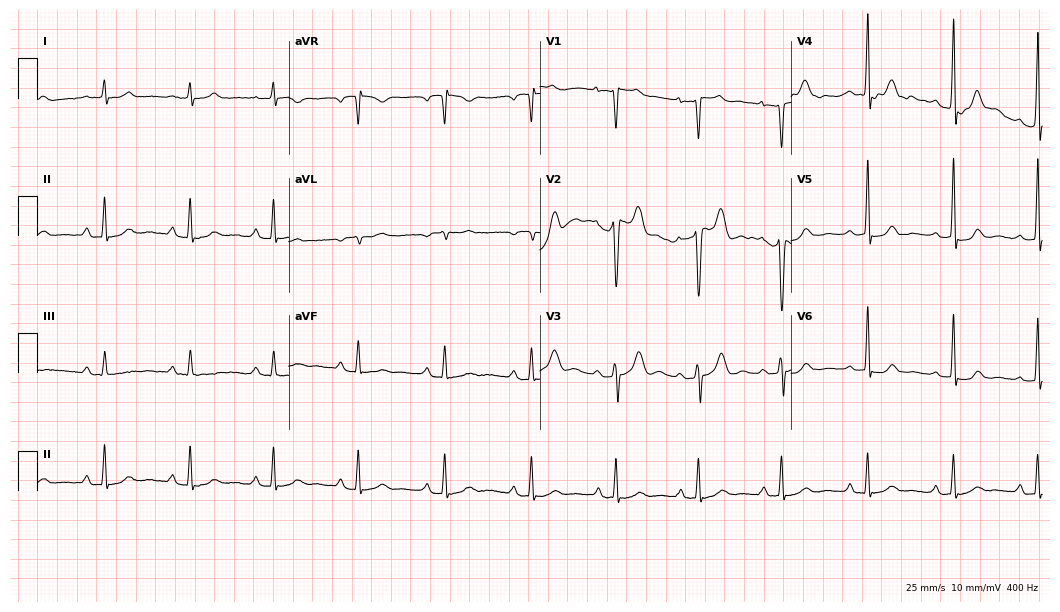
12-lead ECG from a 53-year-old woman. Labelled as a normal ECG.